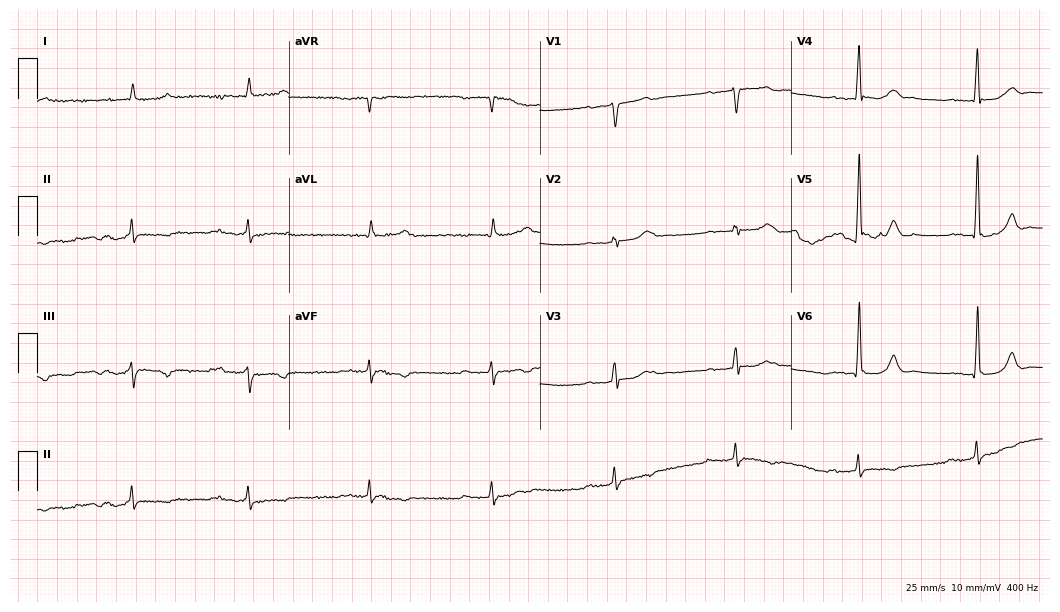
Electrocardiogram, an 82-year-old male patient. Interpretation includes atrial fibrillation (AF).